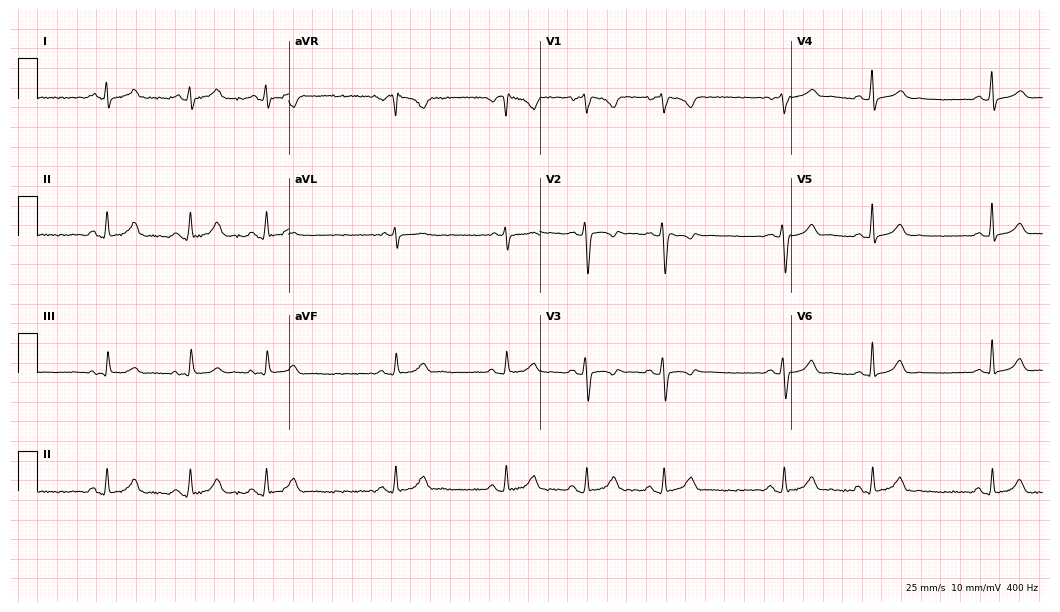
Resting 12-lead electrocardiogram. Patient: a 28-year-old female. Read as a normal ECG.